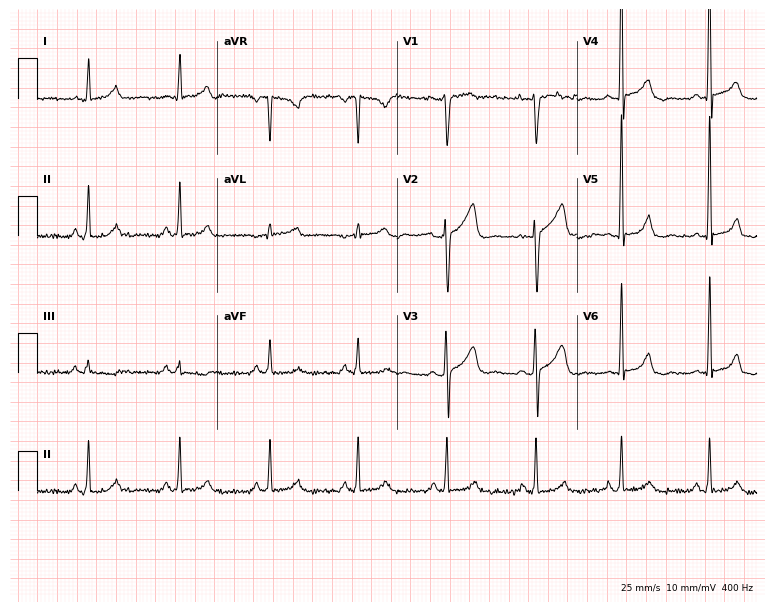
12-lead ECG (7.3-second recording at 400 Hz) from a woman, 29 years old. Screened for six findings — first-degree AV block, right bundle branch block (RBBB), left bundle branch block (LBBB), sinus bradycardia, atrial fibrillation (AF), sinus tachycardia — none is recorded. Other findings, if any, are not listed.